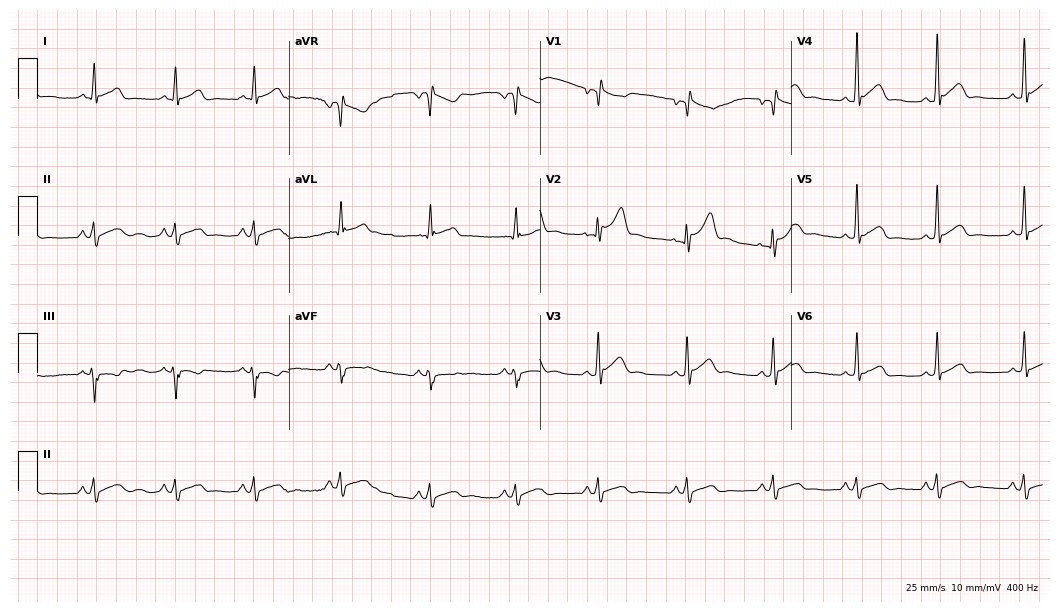
12-lead ECG from a 17-year-old male (10.2-second recording at 400 Hz). No first-degree AV block, right bundle branch block, left bundle branch block, sinus bradycardia, atrial fibrillation or sinus tachycardia recorded for this tracing. Only these six findings were labelled.